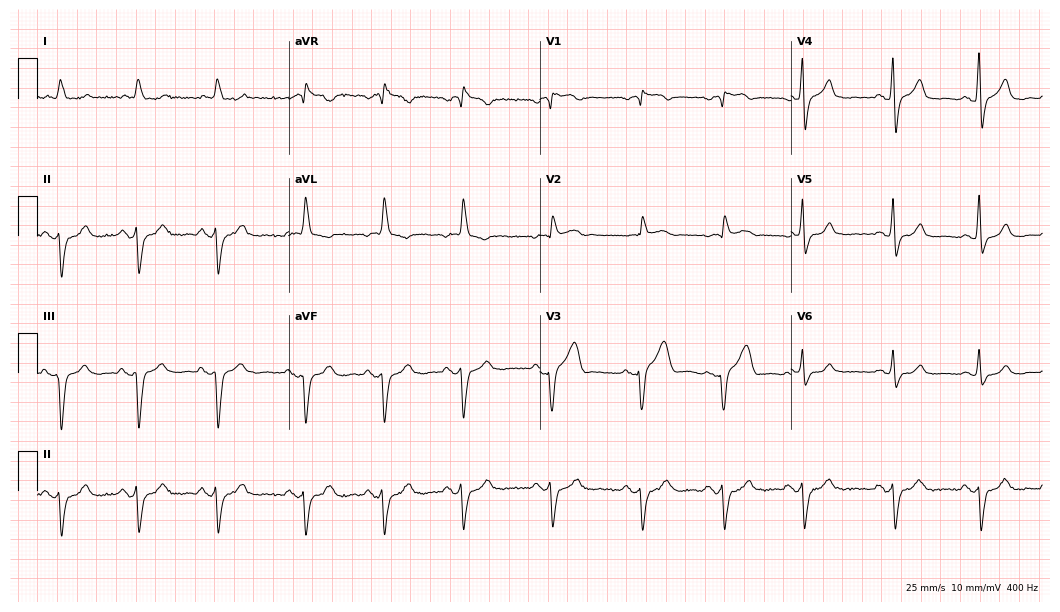
12-lead ECG from a male patient, 77 years old (10.2-second recording at 400 Hz). No first-degree AV block, right bundle branch block, left bundle branch block, sinus bradycardia, atrial fibrillation or sinus tachycardia recorded for this tracing.